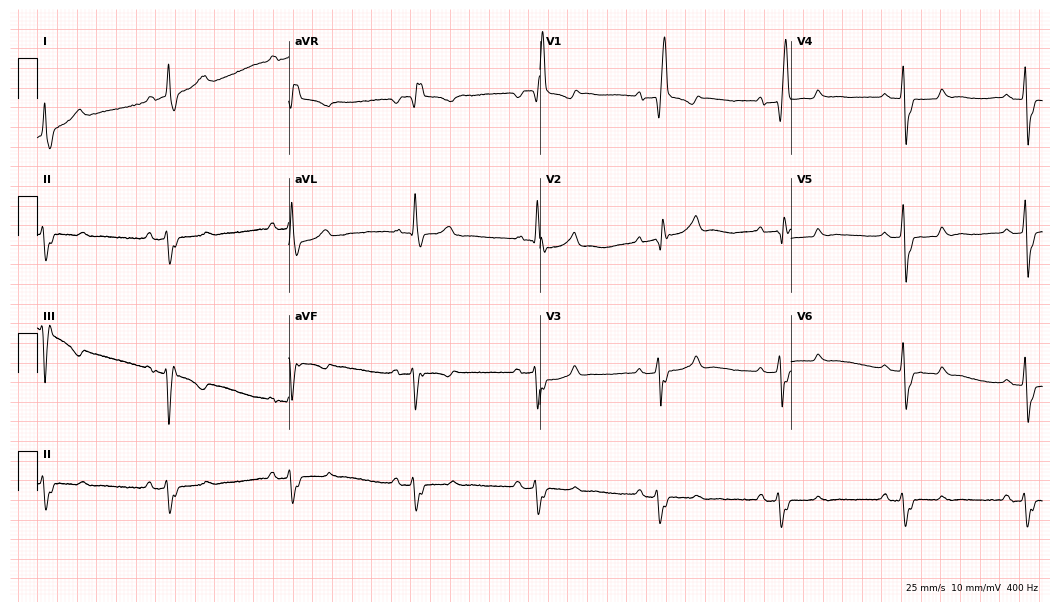
12-lead ECG from a 74-year-old male (10.2-second recording at 400 Hz). Shows right bundle branch block (RBBB).